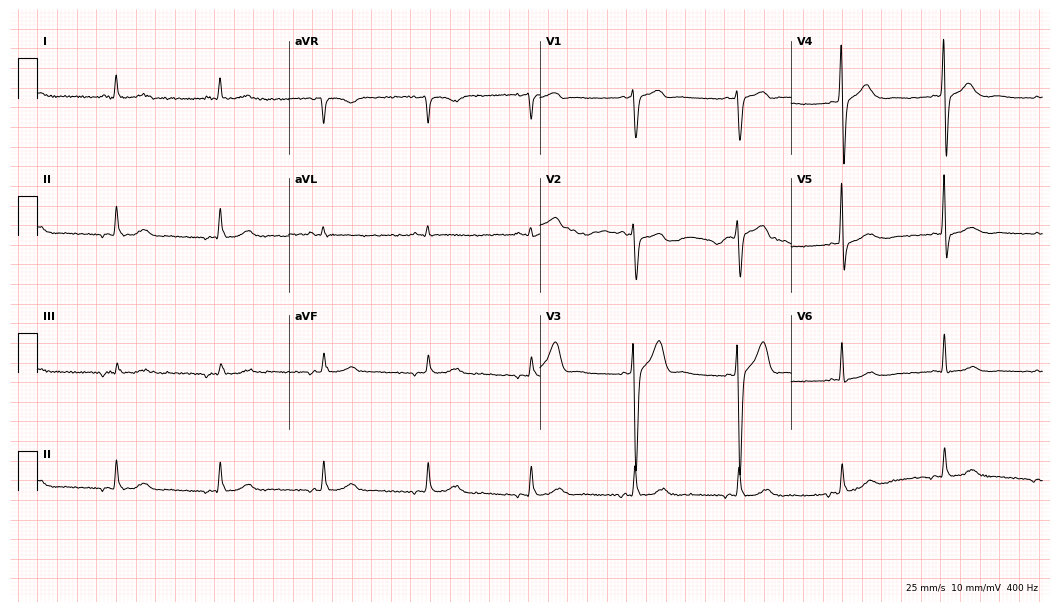
12-lead ECG from a man, 54 years old. Screened for six findings — first-degree AV block, right bundle branch block (RBBB), left bundle branch block (LBBB), sinus bradycardia, atrial fibrillation (AF), sinus tachycardia — none is recorded. Only these six findings were labelled.